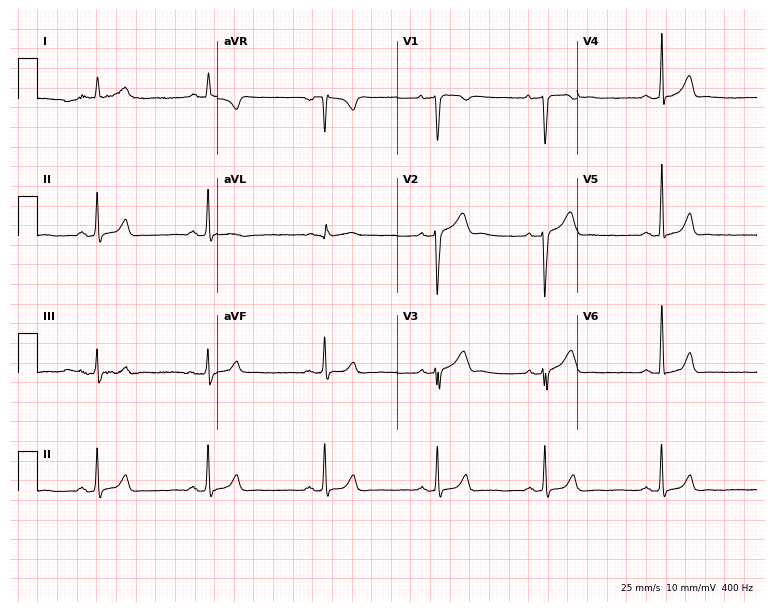
12-lead ECG from a 22-year-old male patient (7.3-second recording at 400 Hz). No first-degree AV block, right bundle branch block (RBBB), left bundle branch block (LBBB), sinus bradycardia, atrial fibrillation (AF) or sinus tachycardia recorded for this tracing.